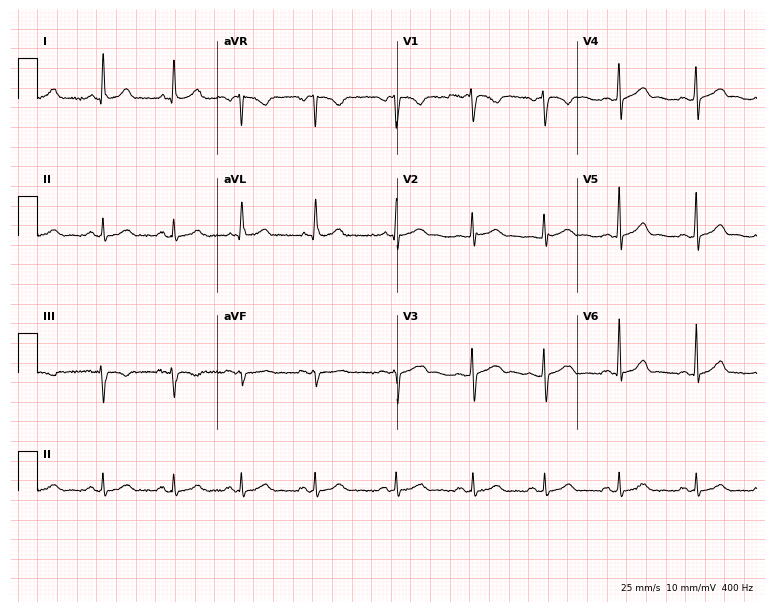
Electrocardiogram (7.3-second recording at 400 Hz), a female, 32 years old. Overall reading on record: normal ECG.